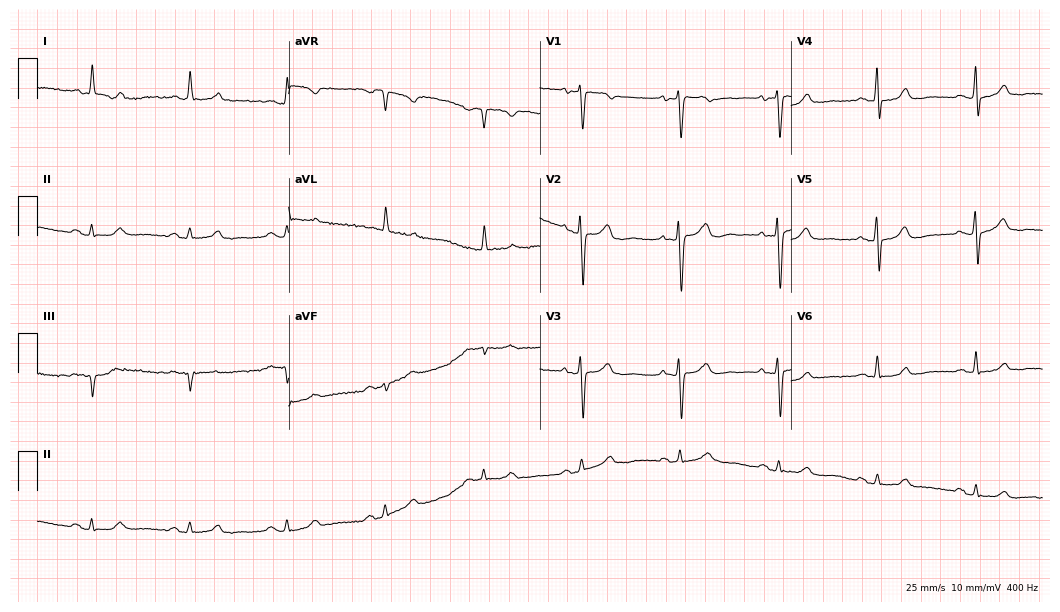
12-lead ECG from an 84-year-old woman (10.2-second recording at 400 Hz). No first-degree AV block, right bundle branch block, left bundle branch block, sinus bradycardia, atrial fibrillation or sinus tachycardia recorded for this tracing.